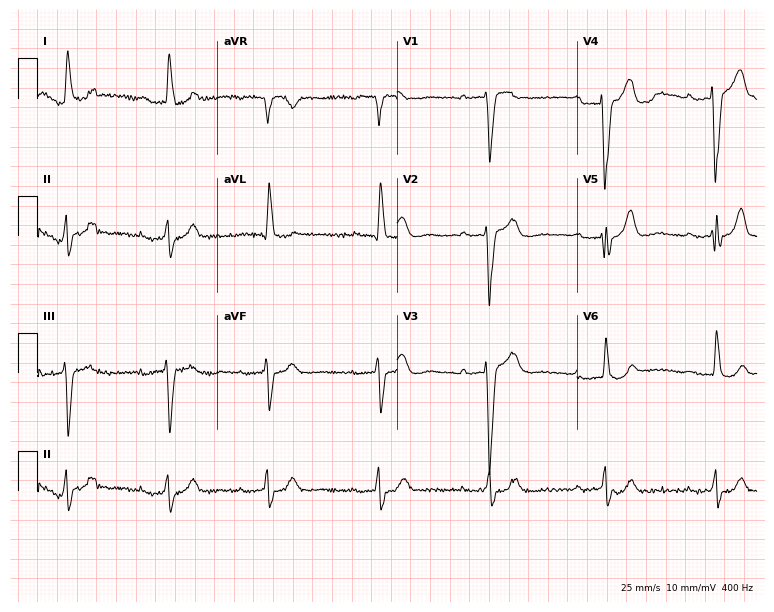
12-lead ECG from a man, 85 years old. Findings include first-degree AV block, left bundle branch block (LBBB).